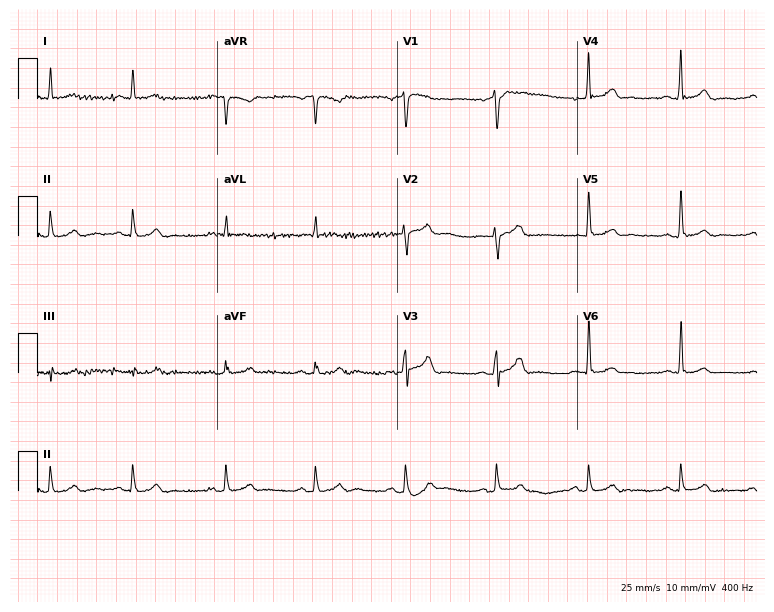
Standard 12-lead ECG recorded from a male, 61 years old (7.3-second recording at 400 Hz). Read as a normal ECG.